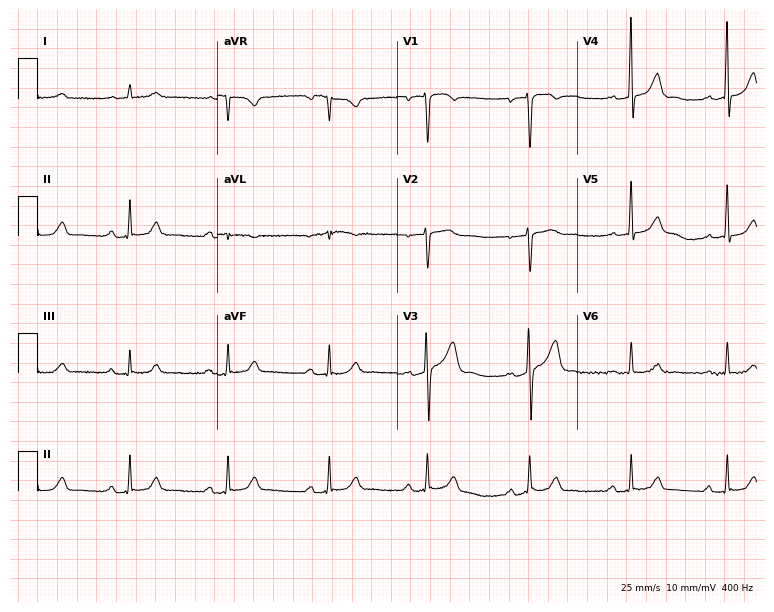
Standard 12-lead ECG recorded from a 57-year-old man (7.3-second recording at 400 Hz). Read as a normal ECG.